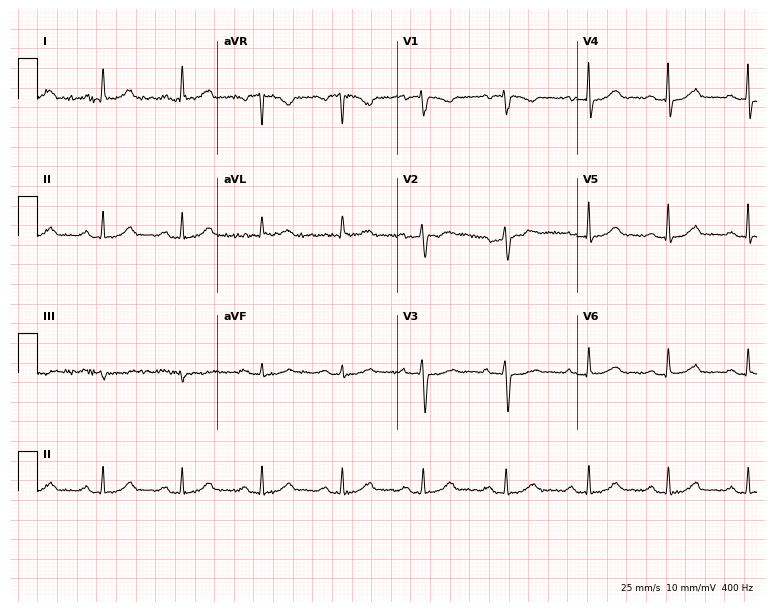
Electrocardiogram, a woman, 63 years old. Of the six screened findings (first-degree AV block, right bundle branch block, left bundle branch block, sinus bradycardia, atrial fibrillation, sinus tachycardia), none is recorded. Findings outside these six are not listed.